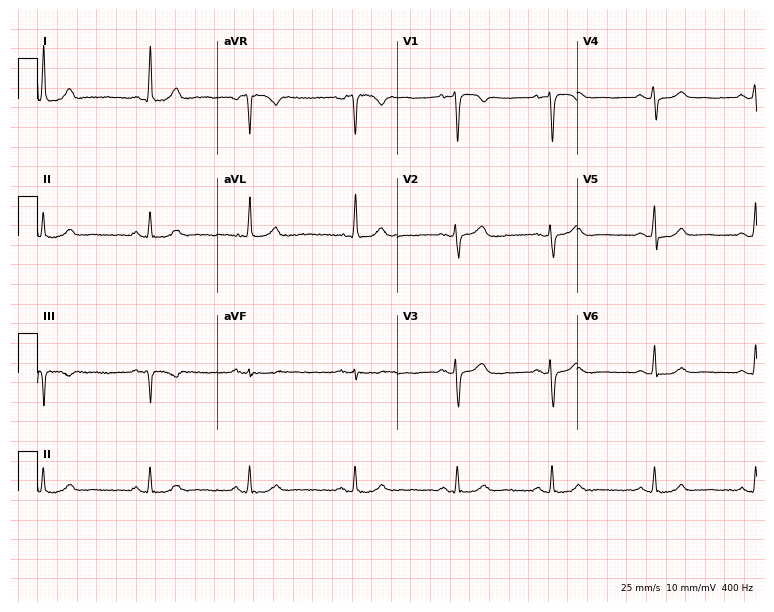
Standard 12-lead ECG recorded from a female, 45 years old. Read as a normal ECG.